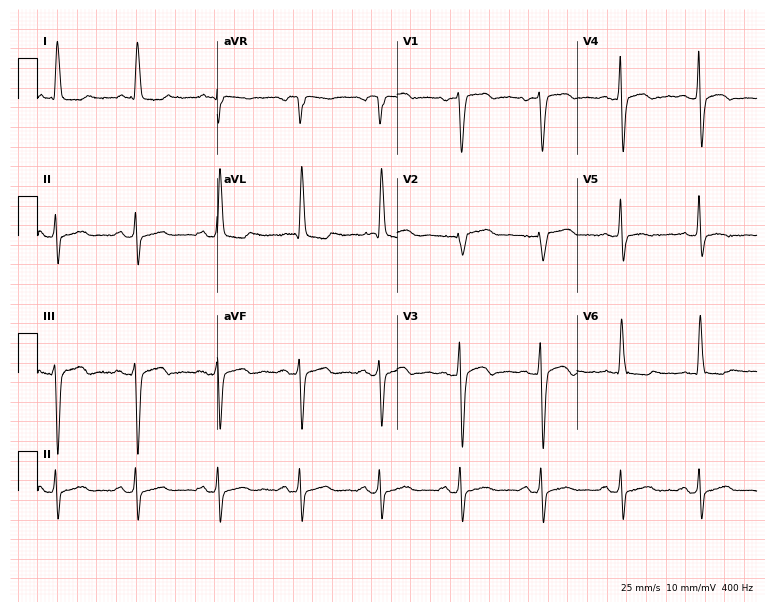
12-lead ECG (7.3-second recording at 400 Hz) from a woman, 65 years old. Screened for six findings — first-degree AV block, right bundle branch block (RBBB), left bundle branch block (LBBB), sinus bradycardia, atrial fibrillation (AF), sinus tachycardia — none is recorded.